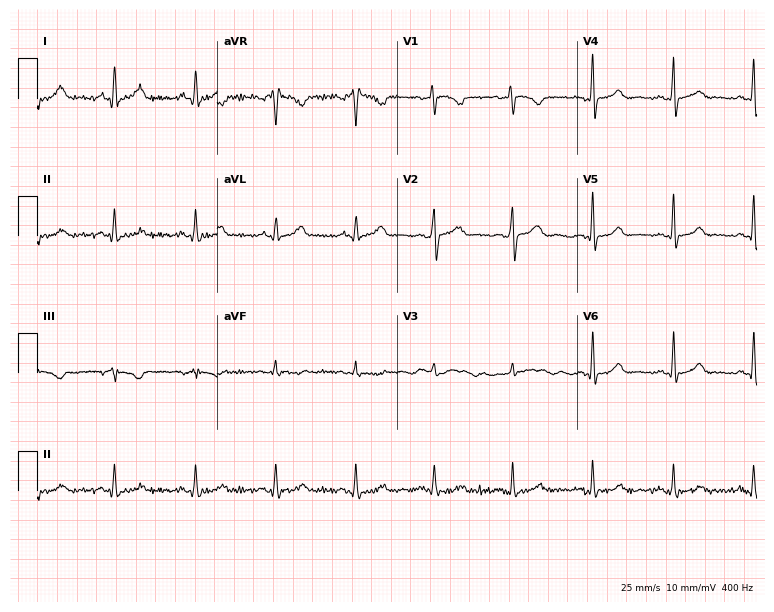
ECG (7.3-second recording at 400 Hz) — a female, 37 years old. Screened for six findings — first-degree AV block, right bundle branch block, left bundle branch block, sinus bradycardia, atrial fibrillation, sinus tachycardia — none is recorded. Other findings, if any, are not listed.